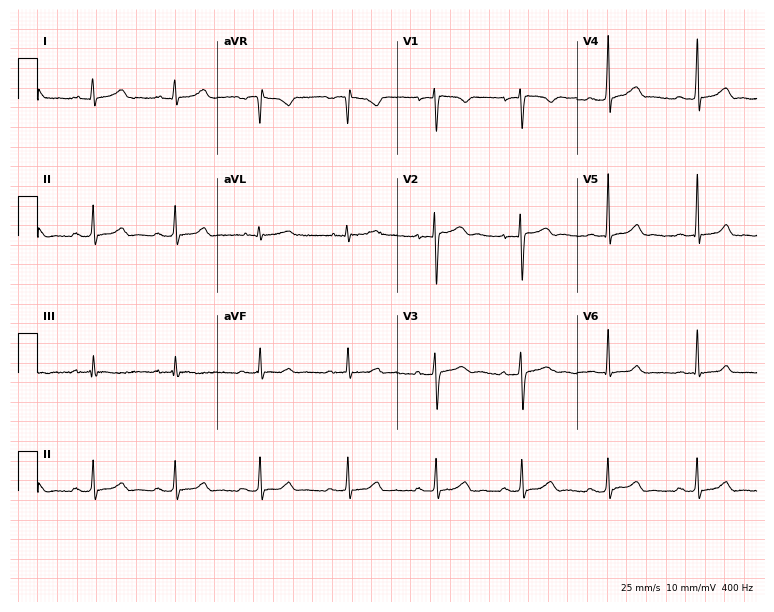
ECG (7.3-second recording at 400 Hz) — a man, 17 years old. Labelled as a normal ECG.